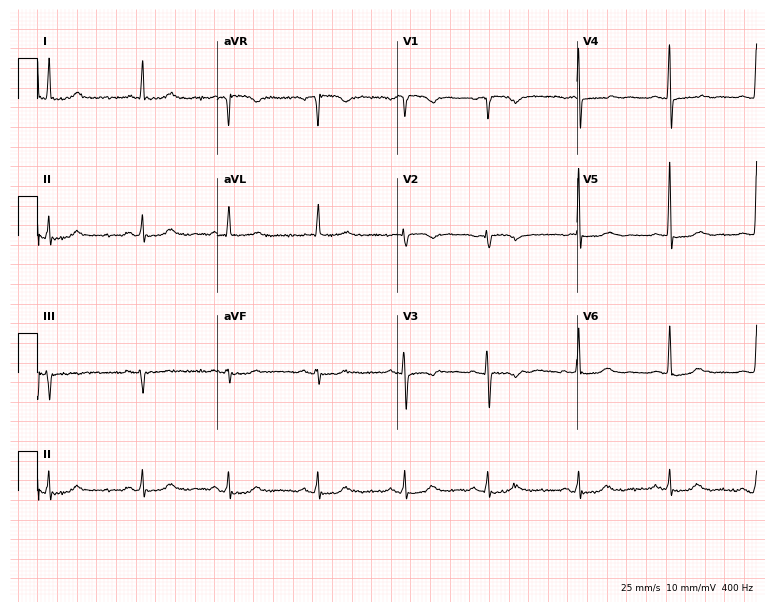
Electrocardiogram, a female patient, 76 years old. Overall reading on record: normal ECG.